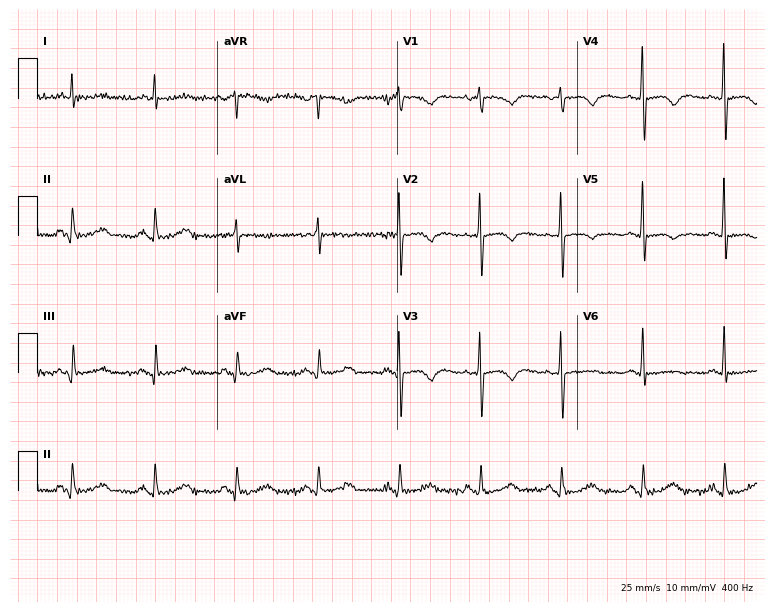
Resting 12-lead electrocardiogram. Patient: a 67-year-old woman. Read as a normal ECG.